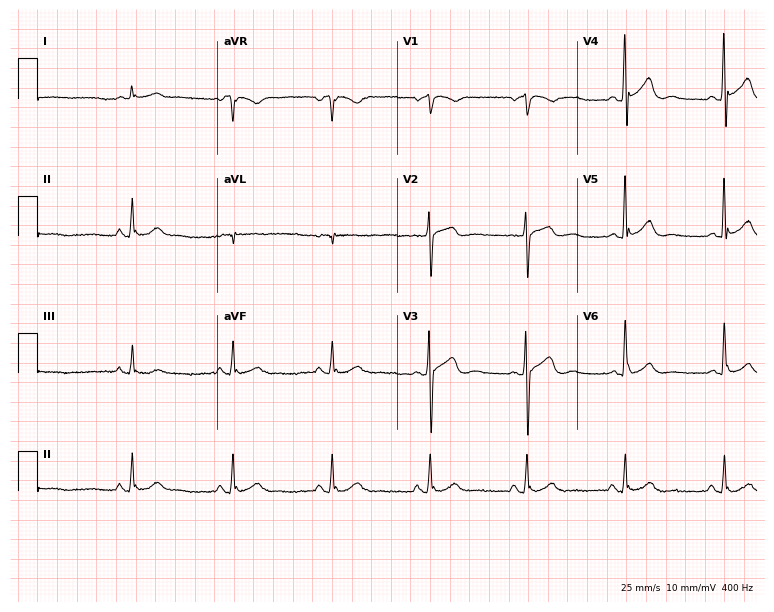
ECG (7.3-second recording at 400 Hz) — a man, 62 years old. Labelled as a normal ECG.